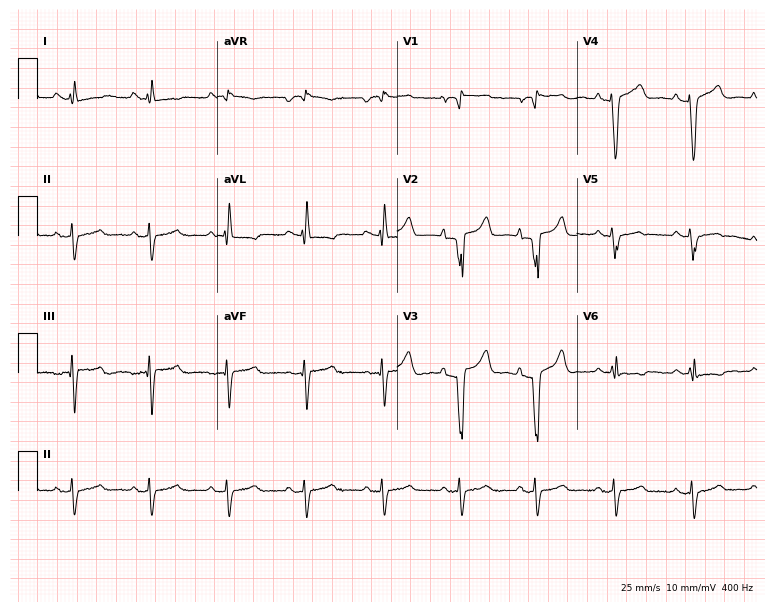
Standard 12-lead ECG recorded from a male, 52 years old. None of these six findings is recorded: first-degree AV block, right bundle branch block, left bundle branch block, sinus bradycardia, atrial fibrillation, sinus tachycardia.